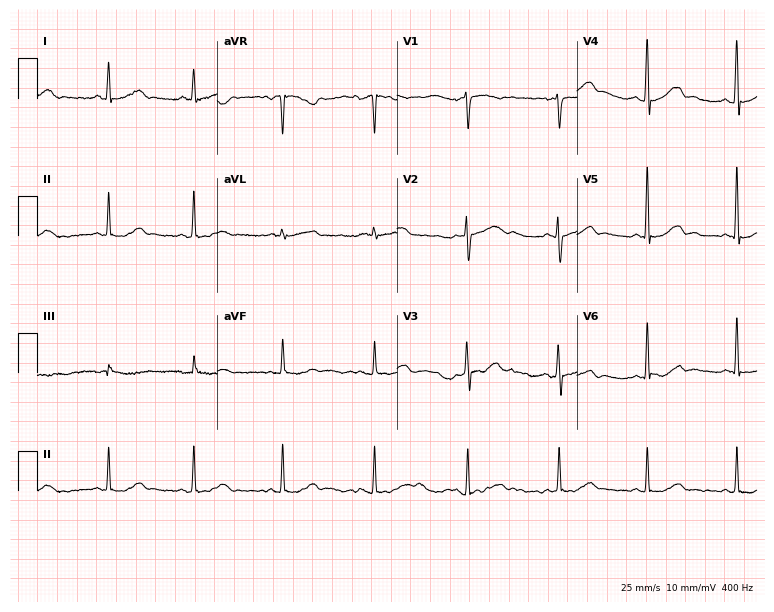
12-lead ECG from a female, 43 years old. No first-degree AV block, right bundle branch block, left bundle branch block, sinus bradycardia, atrial fibrillation or sinus tachycardia recorded for this tracing.